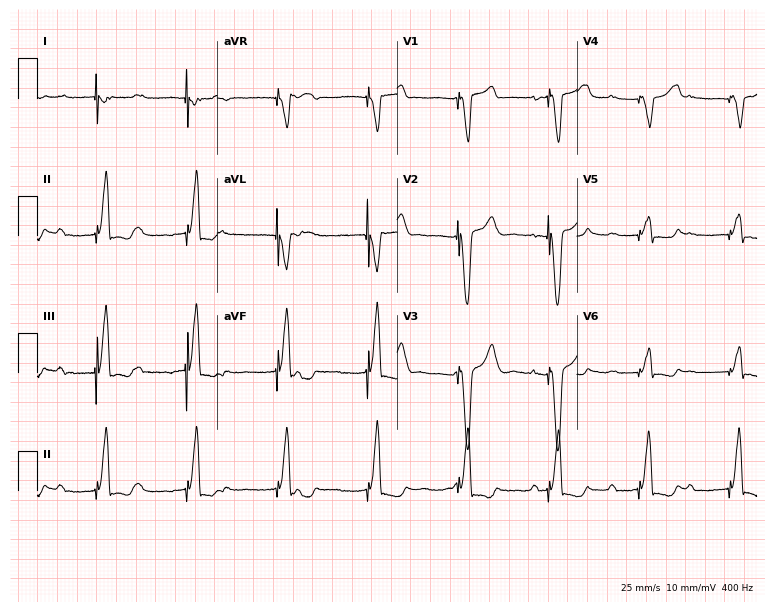
12-lead ECG from an 85-year-old male patient. Screened for six findings — first-degree AV block, right bundle branch block (RBBB), left bundle branch block (LBBB), sinus bradycardia, atrial fibrillation (AF), sinus tachycardia — none is recorded.